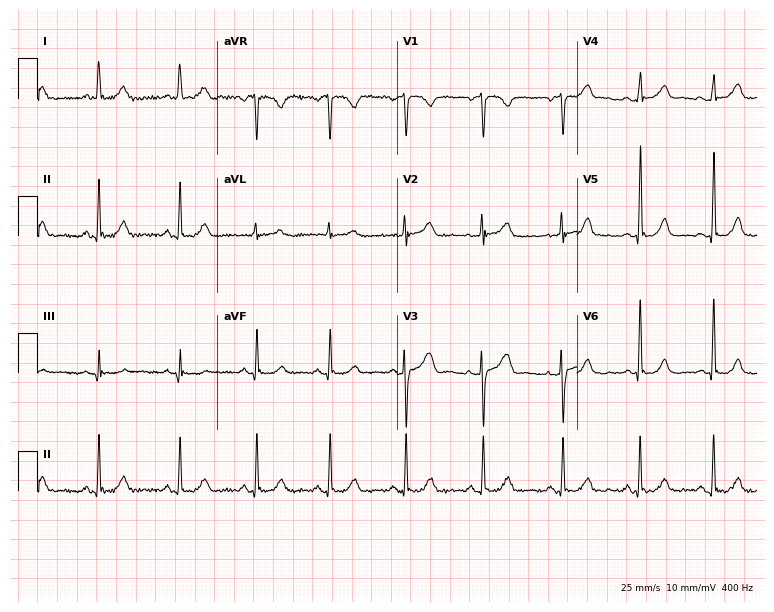
12-lead ECG from a 39-year-old female (7.3-second recording at 400 Hz). Recorded interpretation: within normal limits.